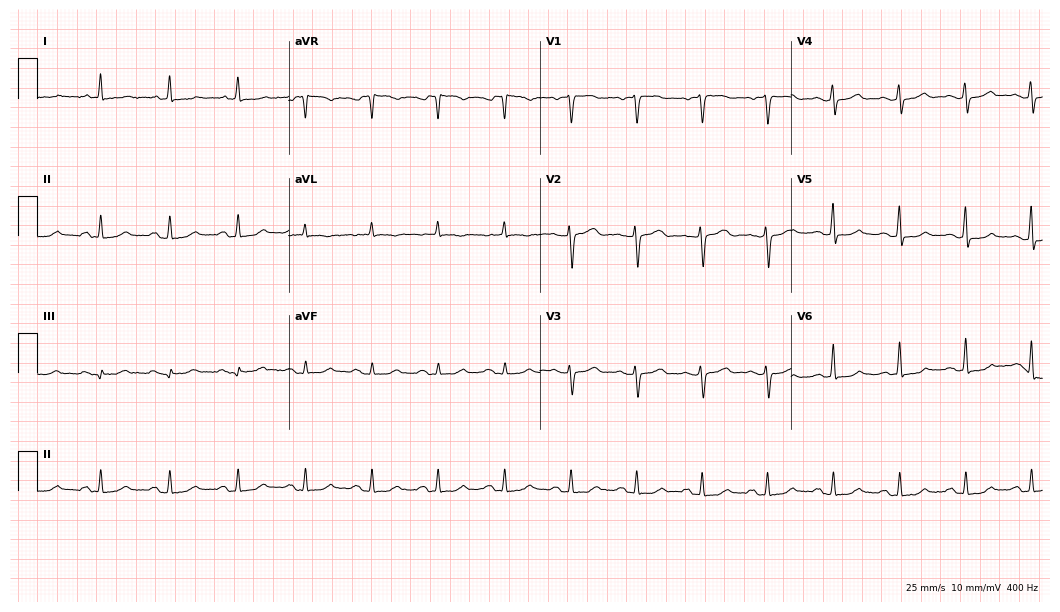
Resting 12-lead electrocardiogram (10.2-second recording at 400 Hz). Patient: a woman, 70 years old. Read as a normal ECG.